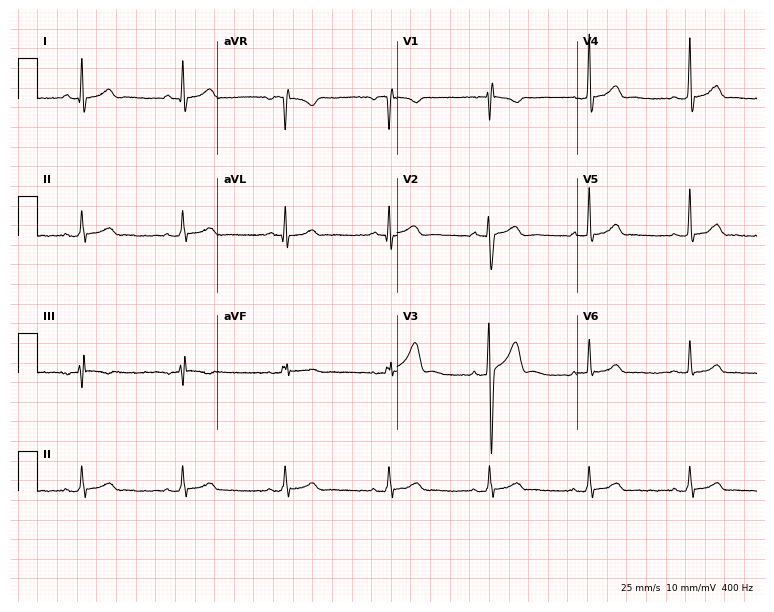
ECG — a male, 39 years old. Labelled as a normal ECG.